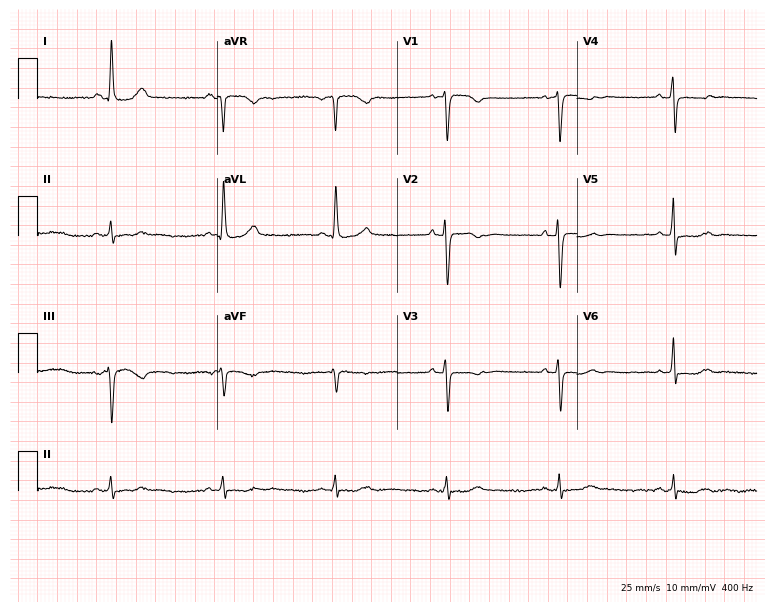
Standard 12-lead ECG recorded from a woman, 72 years old (7.3-second recording at 400 Hz). None of these six findings is recorded: first-degree AV block, right bundle branch block, left bundle branch block, sinus bradycardia, atrial fibrillation, sinus tachycardia.